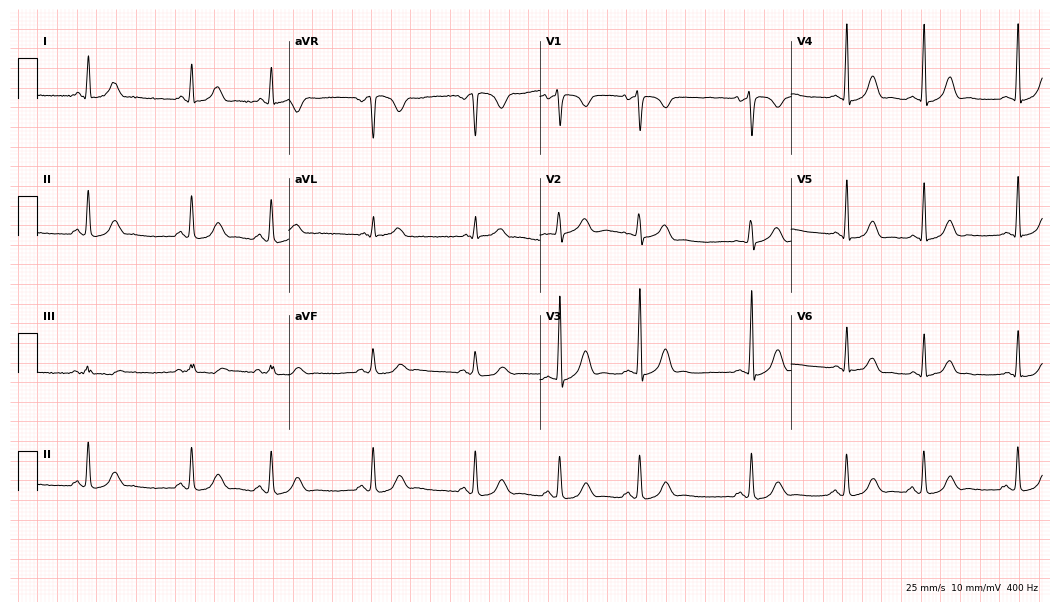
12-lead ECG (10.2-second recording at 400 Hz) from a female, 20 years old. Screened for six findings — first-degree AV block, right bundle branch block, left bundle branch block, sinus bradycardia, atrial fibrillation, sinus tachycardia — none is recorded. Findings outside these six are not listed.